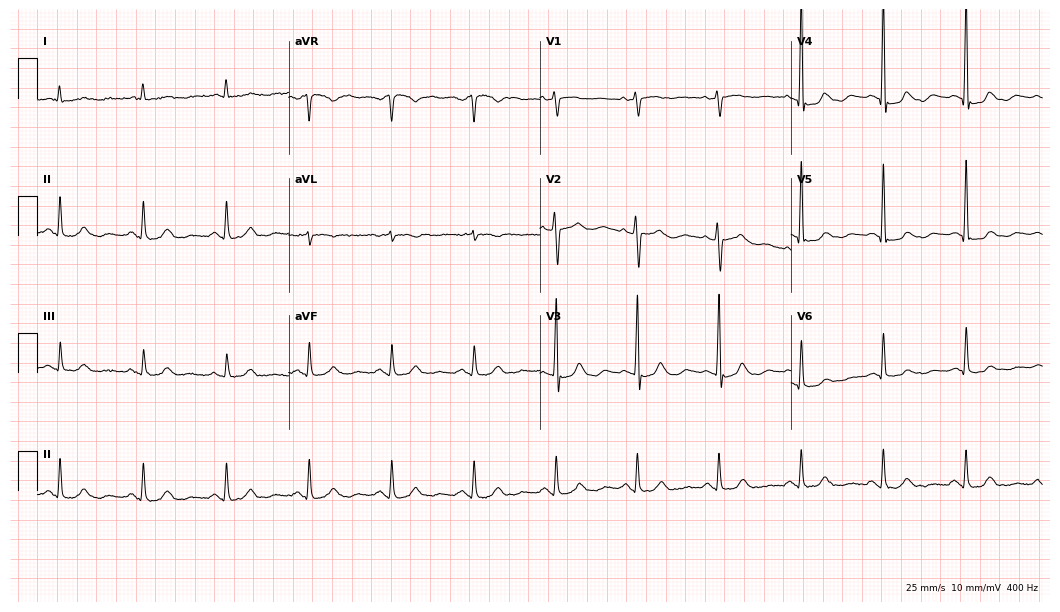
Electrocardiogram, a 77-year-old female. Of the six screened findings (first-degree AV block, right bundle branch block (RBBB), left bundle branch block (LBBB), sinus bradycardia, atrial fibrillation (AF), sinus tachycardia), none is recorded.